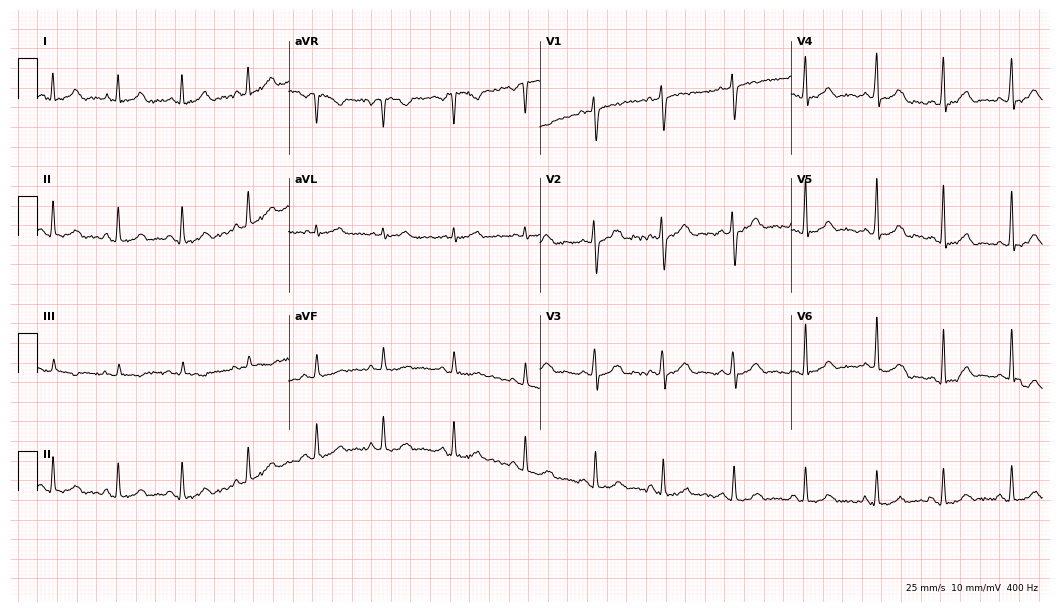
Resting 12-lead electrocardiogram. Patient: a 38-year-old male. Read as a normal ECG.